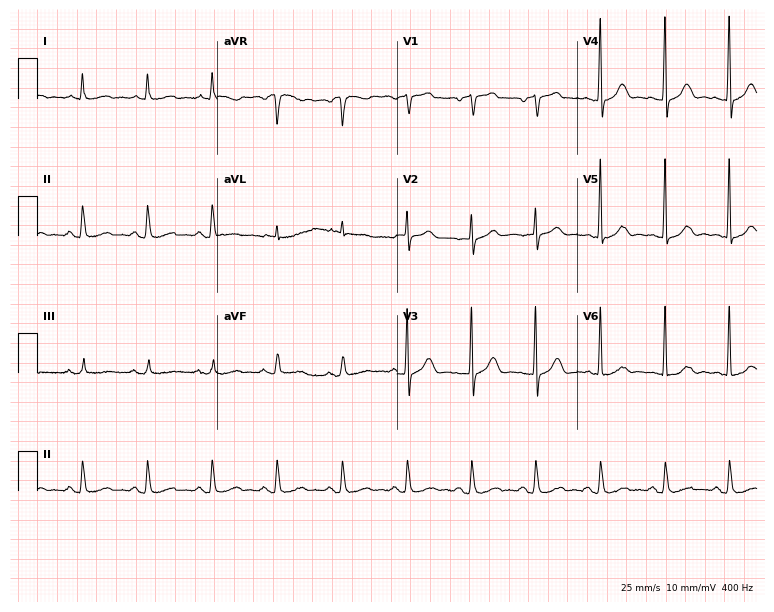
12-lead ECG from a male patient, 73 years old. No first-degree AV block, right bundle branch block (RBBB), left bundle branch block (LBBB), sinus bradycardia, atrial fibrillation (AF) or sinus tachycardia recorded for this tracing.